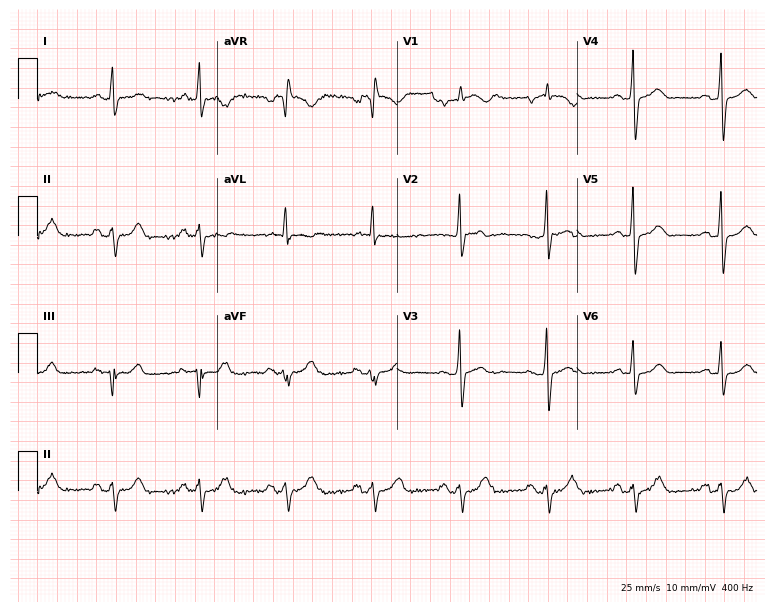
12-lead ECG from a female patient, 81 years old (7.3-second recording at 400 Hz). No first-degree AV block, right bundle branch block (RBBB), left bundle branch block (LBBB), sinus bradycardia, atrial fibrillation (AF) or sinus tachycardia recorded for this tracing.